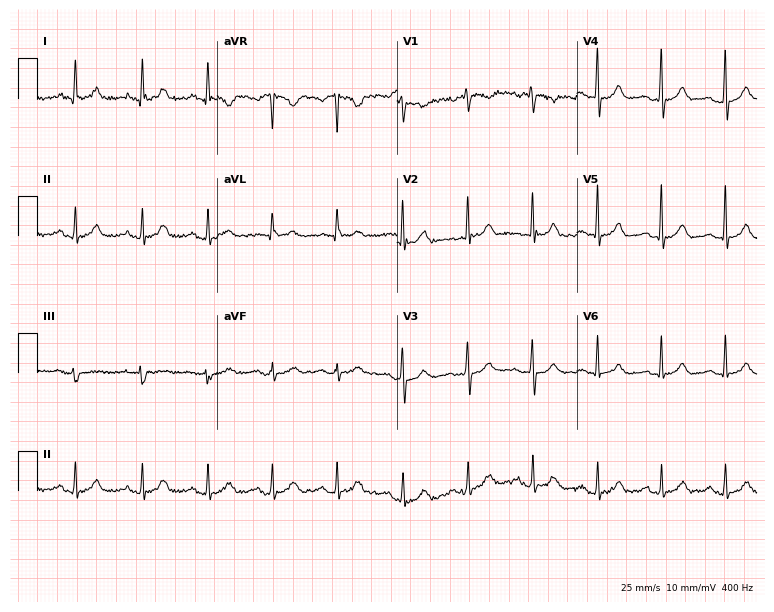
Electrocardiogram (7.3-second recording at 400 Hz), a woman, 62 years old. Overall reading on record: normal ECG.